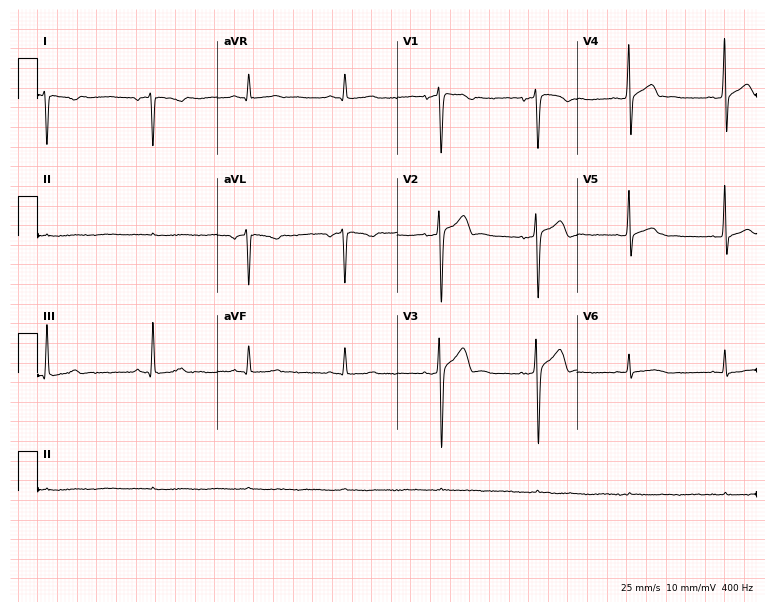
12-lead ECG from a 31-year-old male patient. No first-degree AV block, right bundle branch block, left bundle branch block, sinus bradycardia, atrial fibrillation or sinus tachycardia recorded for this tracing.